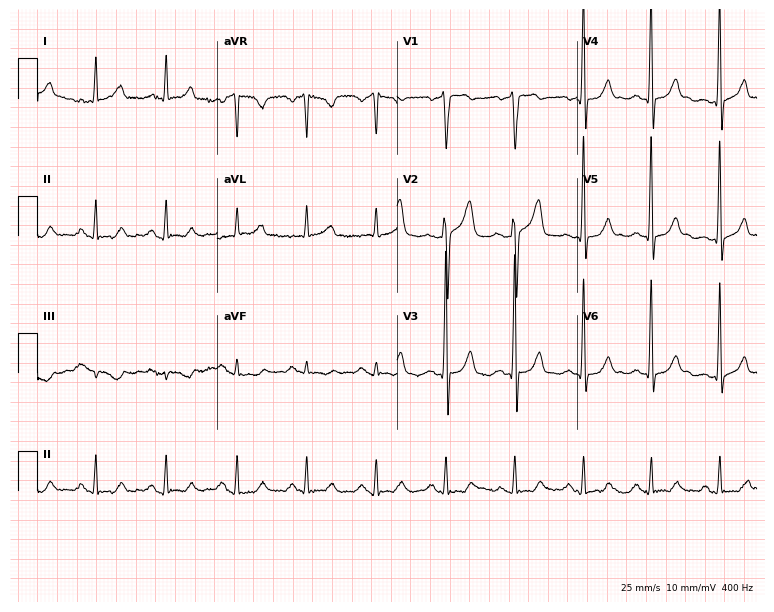
ECG — a male patient, 56 years old. Labelled as a normal ECG.